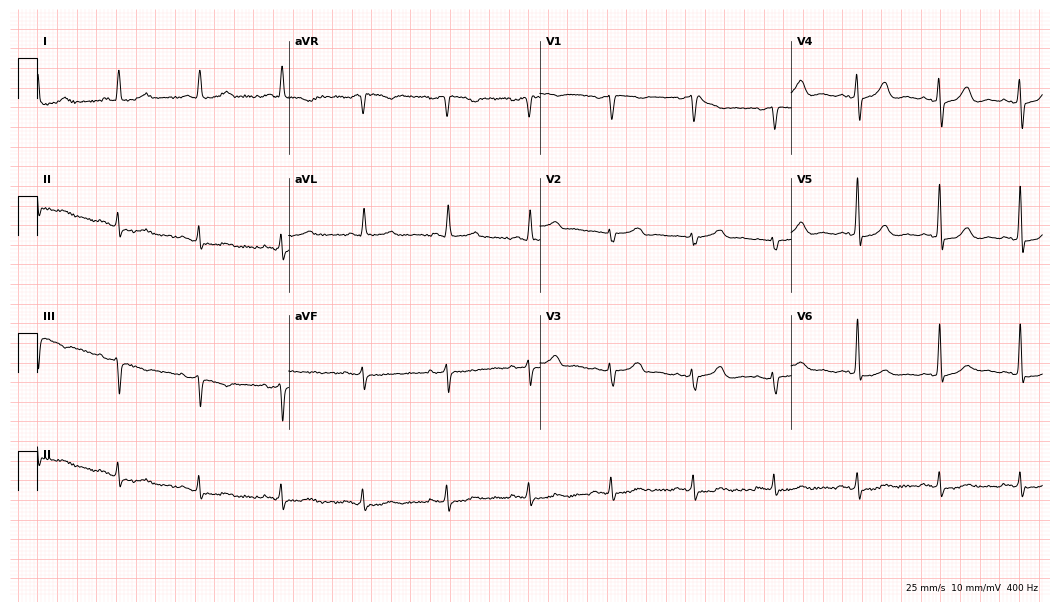
Standard 12-lead ECG recorded from an 84-year-old female (10.2-second recording at 400 Hz). Read as a normal ECG.